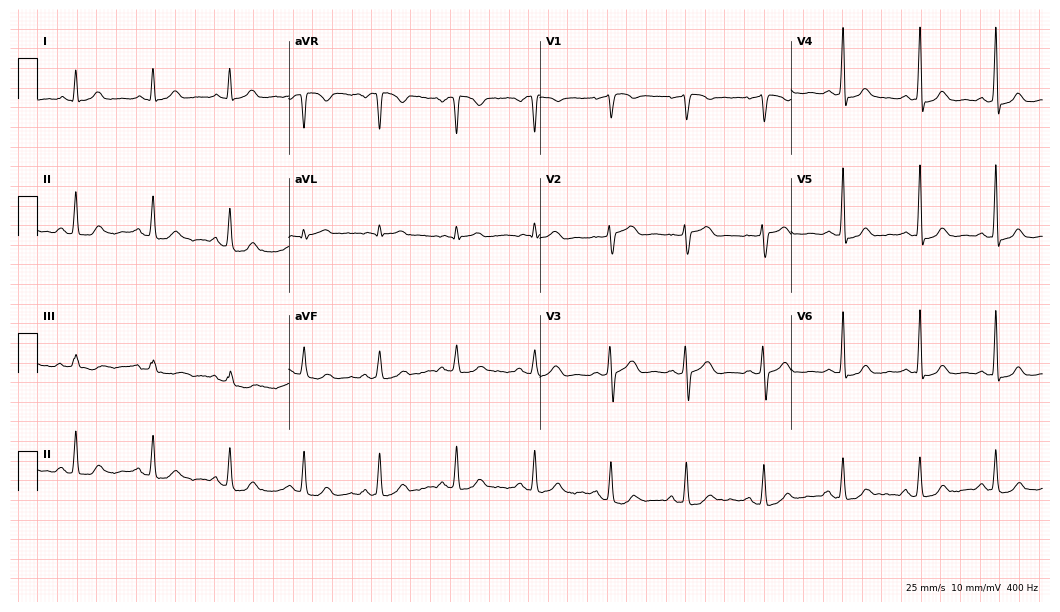
12-lead ECG (10.2-second recording at 400 Hz) from a female, 53 years old. Labelled as a normal ECG.